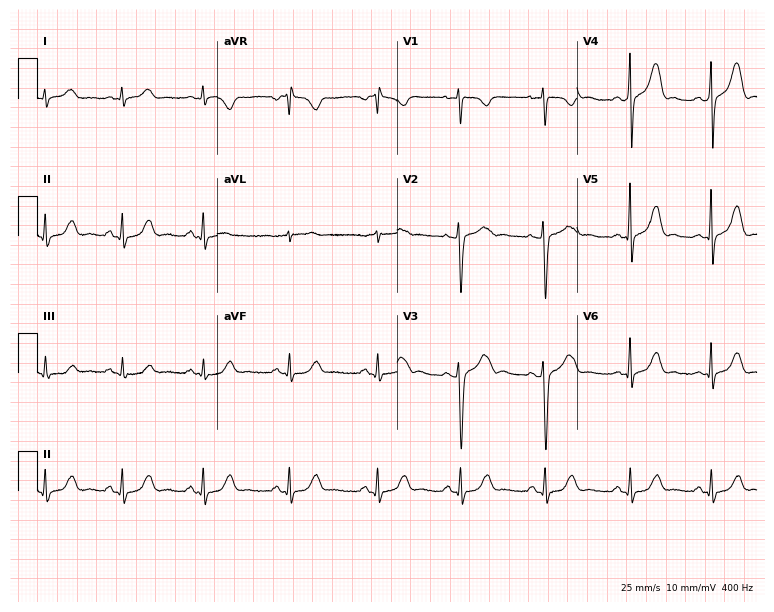
Resting 12-lead electrocardiogram. Patient: a woman, 37 years old. None of these six findings is recorded: first-degree AV block, right bundle branch block, left bundle branch block, sinus bradycardia, atrial fibrillation, sinus tachycardia.